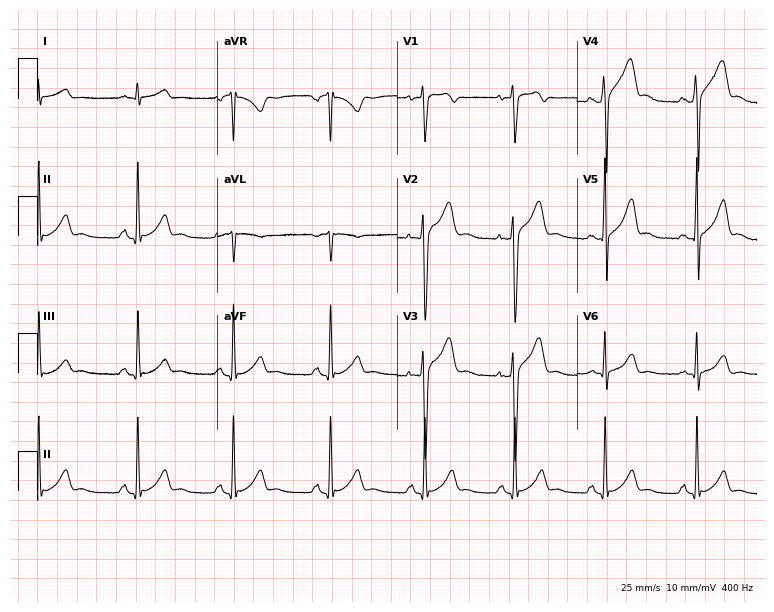
Standard 12-lead ECG recorded from a male patient, 27 years old. Read as a normal ECG.